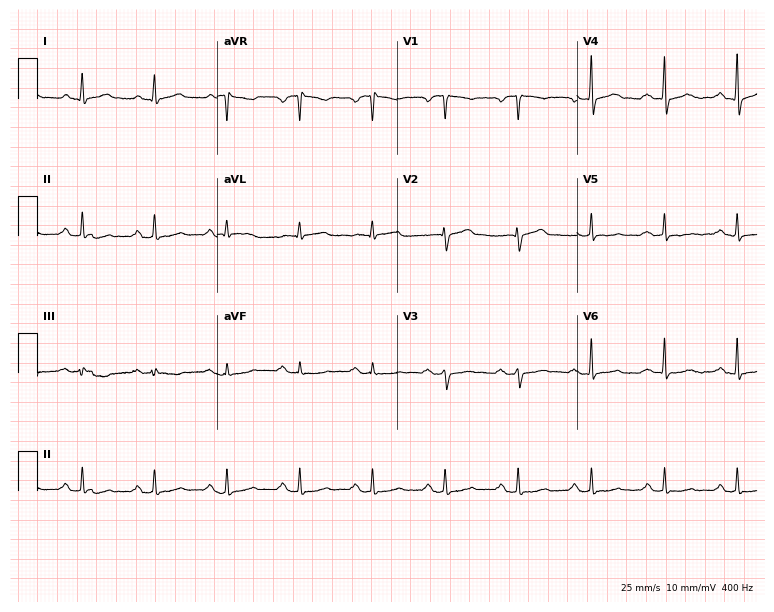
Electrocardiogram (7.3-second recording at 400 Hz), a man, 66 years old. Of the six screened findings (first-degree AV block, right bundle branch block (RBBB), left bundle branch block (LBBB), sinus bradycardia, atrial fibrillation (AF), sinus tachycardia), none is recorded.